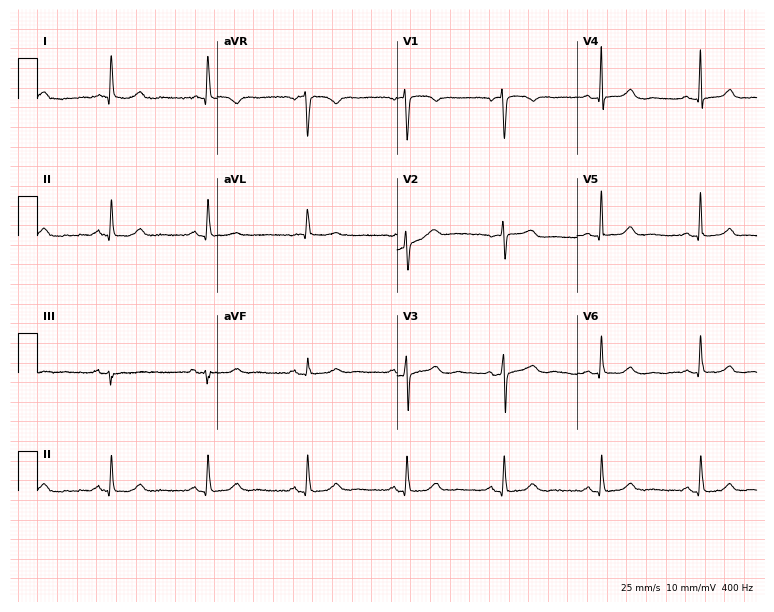
12-lead ECG from a 67-year-old female. Recorded interpretation: within normal limits.